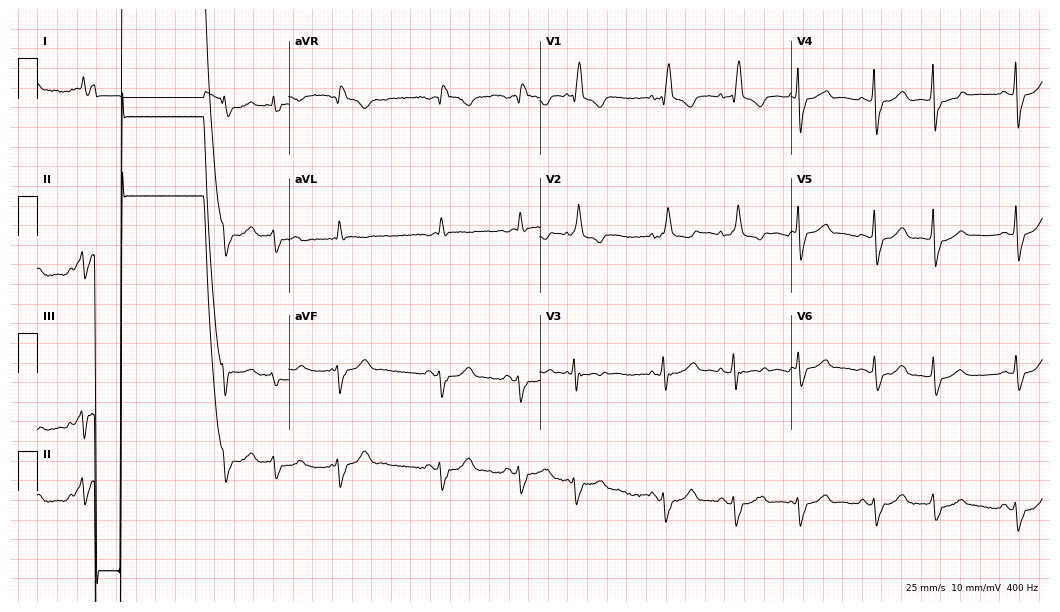
Standard 12-lead ECG recorded from a male patient, 86 years old. None of these six findings is recorded: first-degree AV block, right bundle branch block, left bundle branch block, sinus bradycardia, atrial fibrillation, sinus tachycardia.